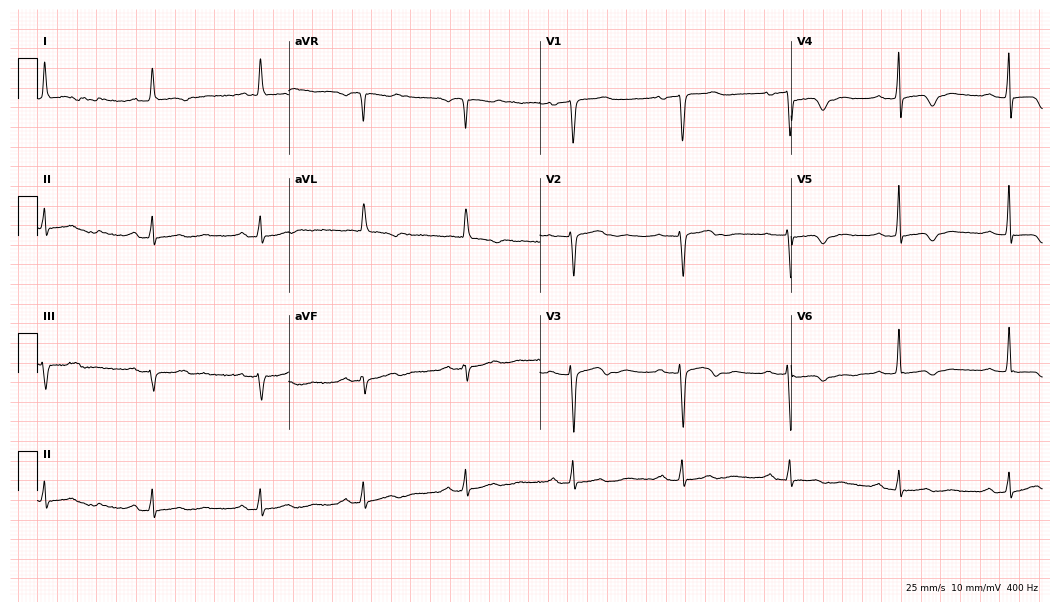
Electrocardiogram, a female, 85 years old. Interpretation includes first-degree AV block.